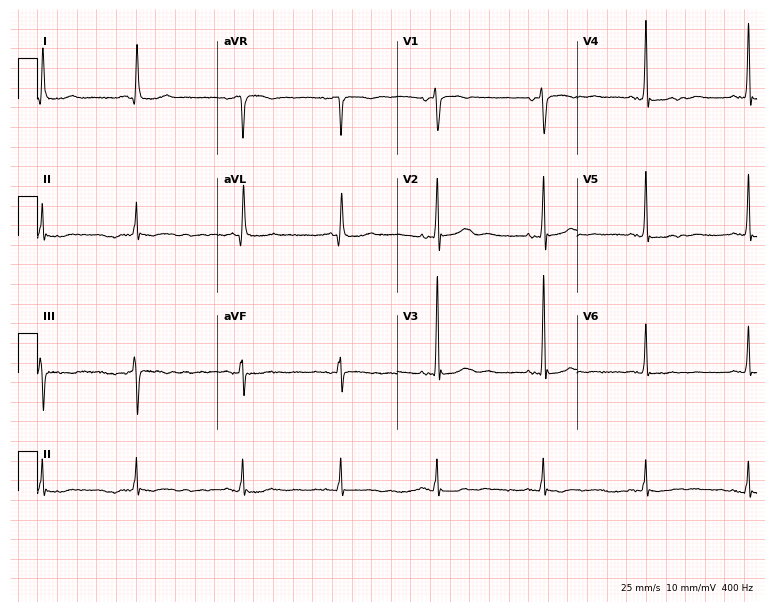
ECG — a woman, 76 years old. Screened for six findings — first-degree AV block, right bundle branch block (RBBB), left bundle branch block (LBBB), sinus bradycardia, atrial fibrillation (AF), sinus tachycardia — none is recorded. Only these six findings were labelled.